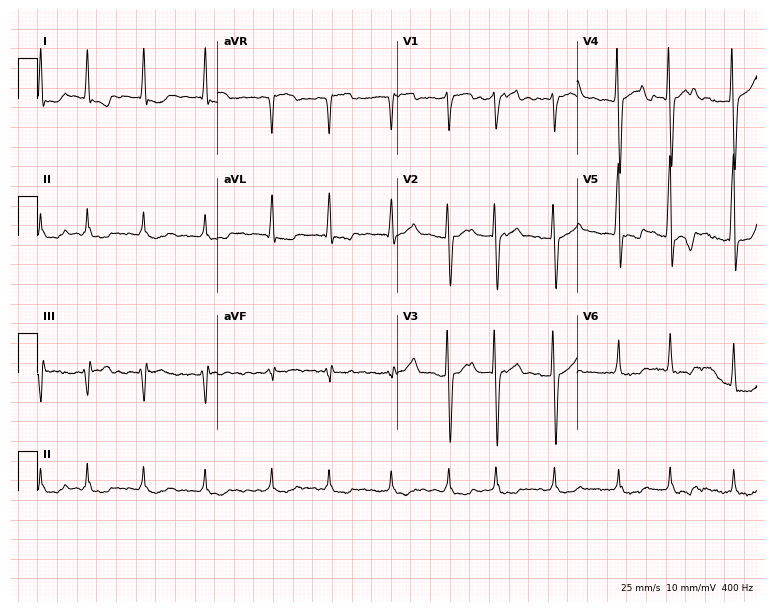
Standard 12-lead ECG recorded from a 74-year-old man (7.3-second recording at 400 Hz). The tracing shows atrial fibrillation.